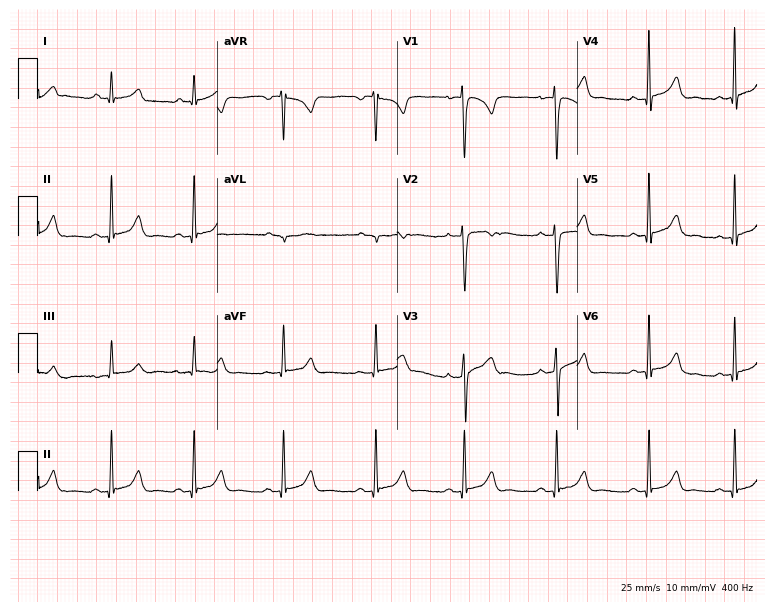
Standard 12-lead ECG recorded from a female, 26 years old (7.3-second recording at 400 Hz). Read as a normal ECG.